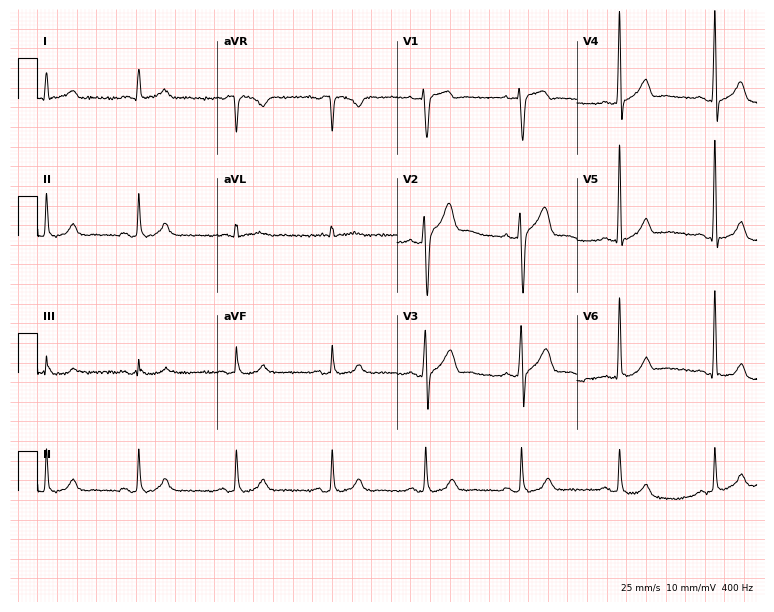
12-lead ECG from a male, 40 years old. Screened for six findings — first-degree AV block, right bundle branch block, left bundle branch block, sinus bradycardia, atrial fibrillation, sinus tachycardia — none is recorded. Findings outside these six are not listed.